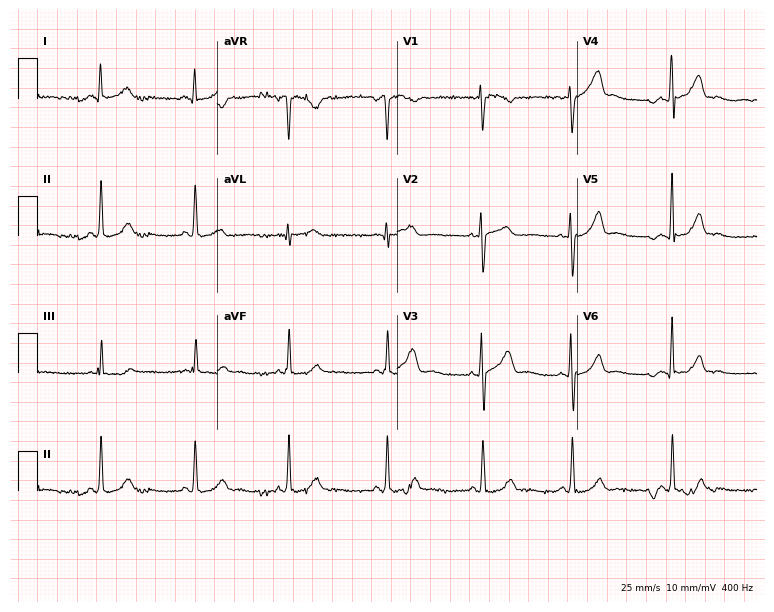
12-lead ECG from a female patient, 20 years old (7.3-second recording at 400 Hz). Recorded interpretation: within normal limits.